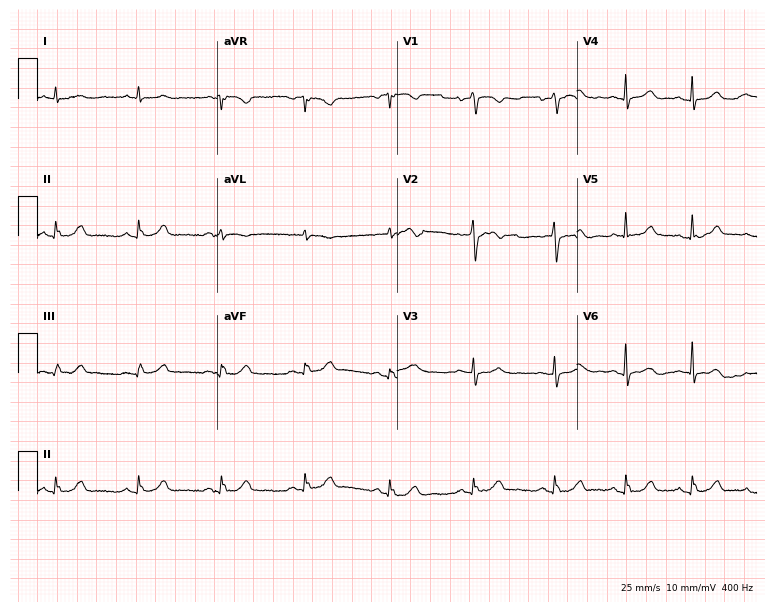
12-lead ECG from a 63-year-old female patient. Recorded interpretation: within normal limits.